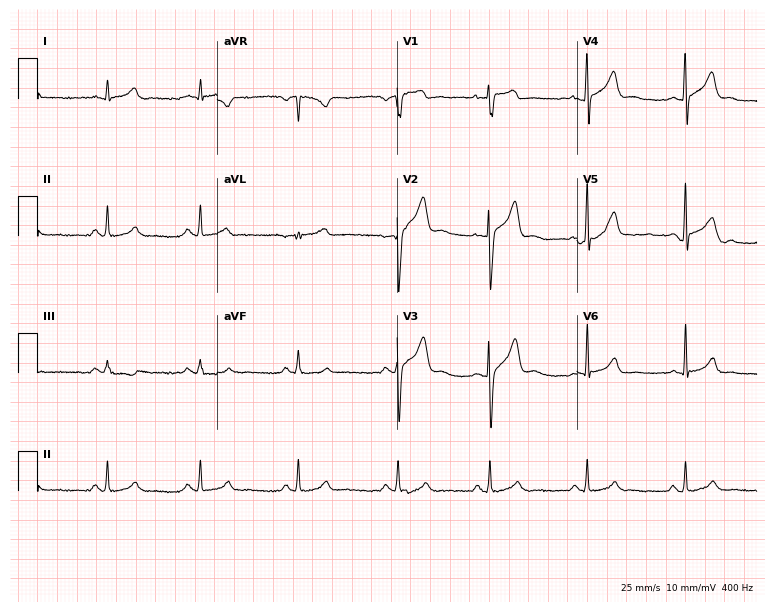
ECG (7.3-second recording at 400 Hz) — a man, 22 years old. Screened for six findings — first-degree AV block, right bundle branch block (RBBB), left bundle branch block (LBBB), sinus bradycardia, atrial fibrillation (AF), sinus tachycardia — none is recorded.